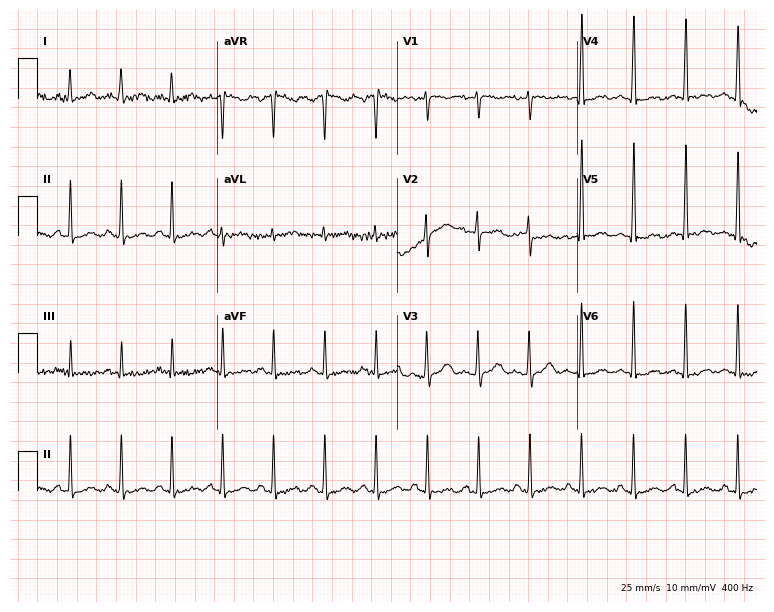
Standard 12-lead ECG recorded from a female, 36 years old (7.3-second recording at 400 Hz). None of these six findings is recorded: first-degree AV block, right bundle branch block (RBBB), left bundle branch block (LBBB), sinus bradycardia, atrial fibrillation (AF), sinus tachycardia.